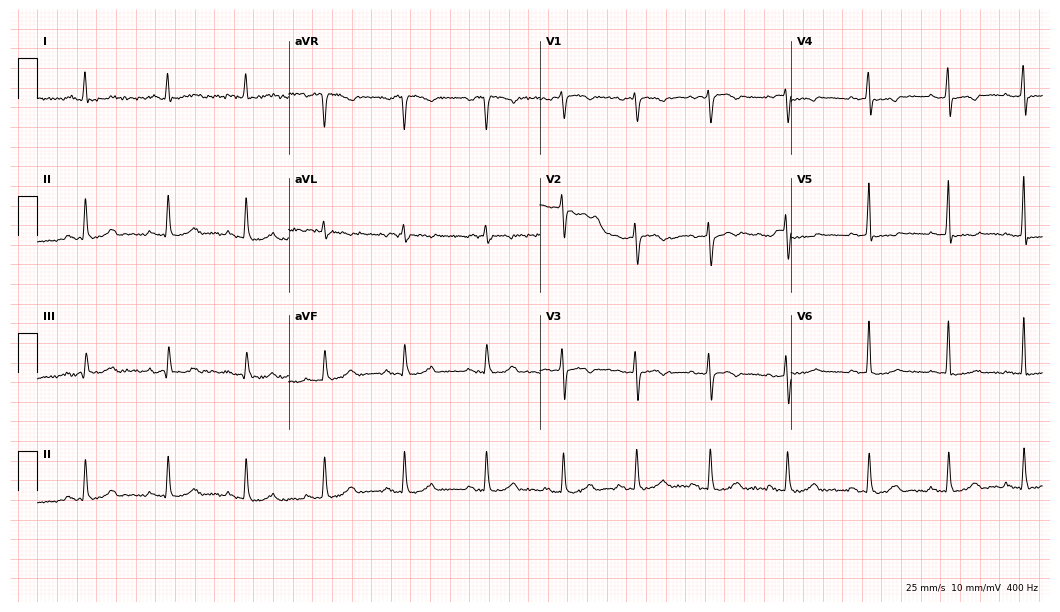
ECG — a female, 61 years old. Screened for six findings — first-degree AV block, right bundle branch block, left bundle branch block, sinus bradycardia, atrial fibrillation, sinus tachycardia — none is recorded.